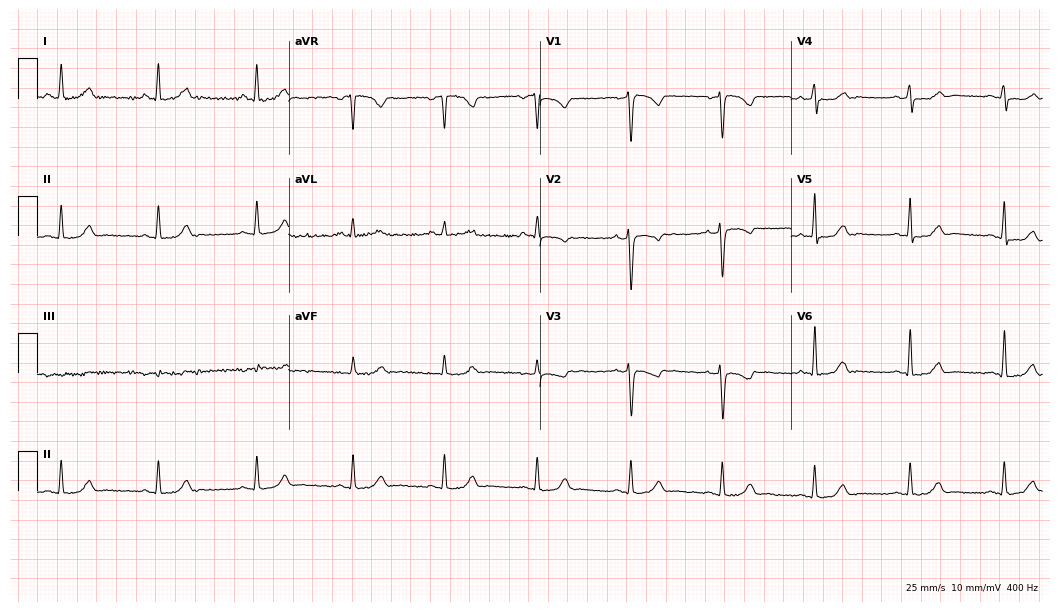
12-lead ECG from a 46-year-old woman. Recorded interpretation: within normal limits.